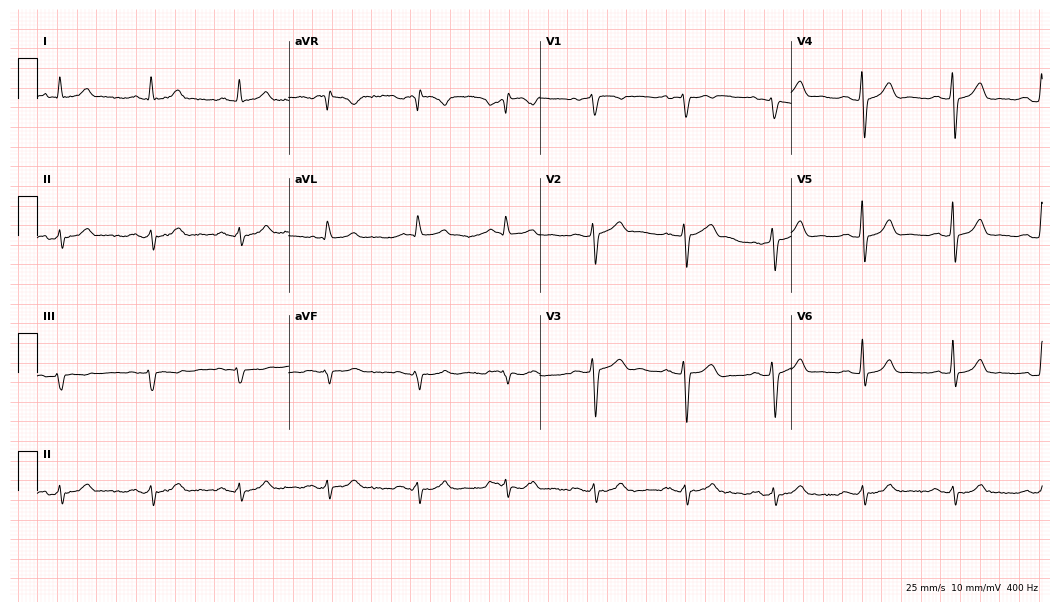
12-lead ECG (10.2-second recording at 400 Hz) from a male, 76 years old. Screened for six findings — first-degree AV block, right bundle branch block, left bundle branch block, sinus bradycardia, atrial fibrillation, sinus tachycardia — none is recorded.